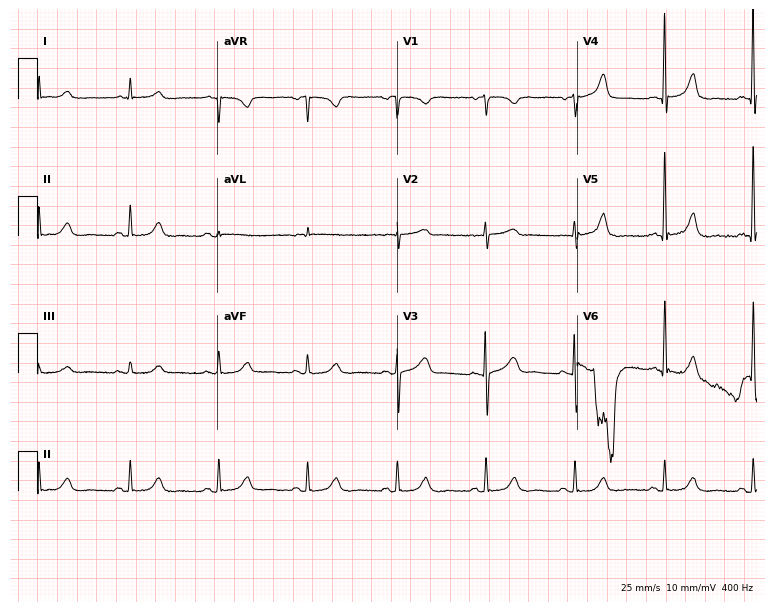
ECG (7.3-second recording at 400 Hz) — a female patient, 85 years old. Labelled as a normal ECG.